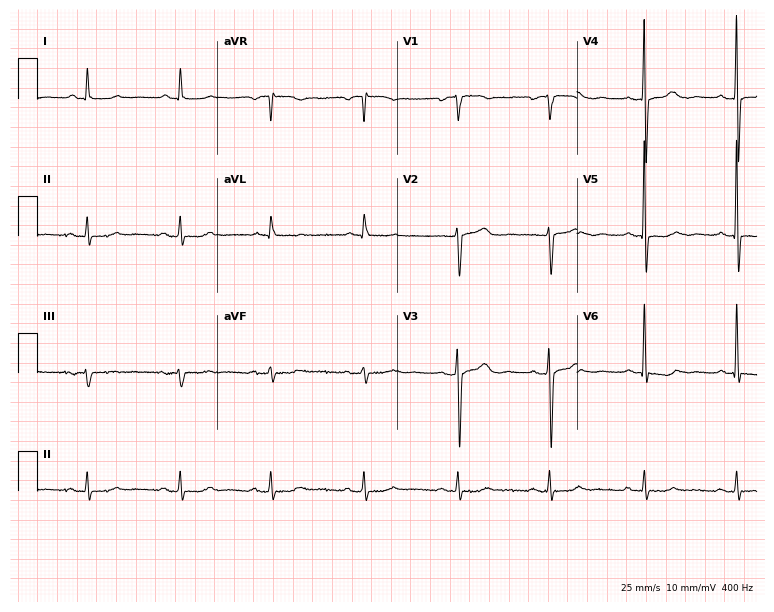
12-lead ECG from a woman, 51 years old. No first-degree AV block, right bundle branch block, left bundle branch block, sinus bradycardia, atrial fibrillation or sinus tachycardia recorded for this tracing. Findings outside these six are not listed.